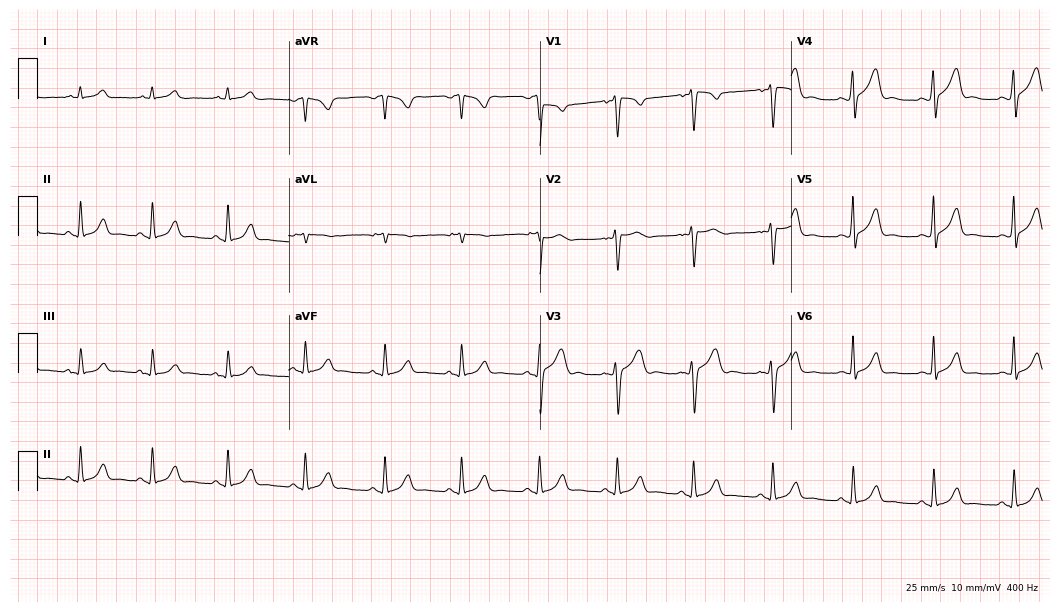
Standard 12-lead ECG recorded from a man, 33 years old (10.2-second recording at 400 Hz). Read as a normal ECG.